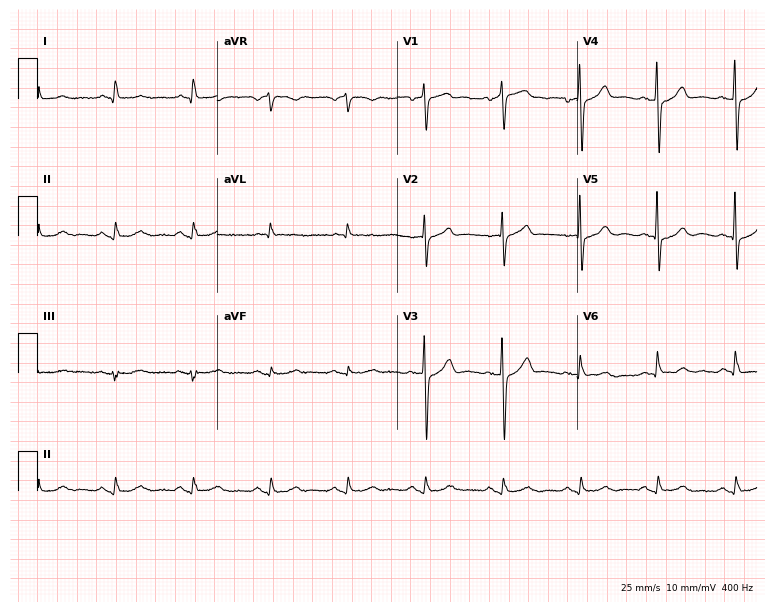
Resting 12-lead electrocardiogram. Patient: an 81-year-old male. None of these six findings is recorded: first-degree AV block, right bundle branch block, left bundle branch block, sinus bradycardia, atrial fibrillation, sinus tachycardia.